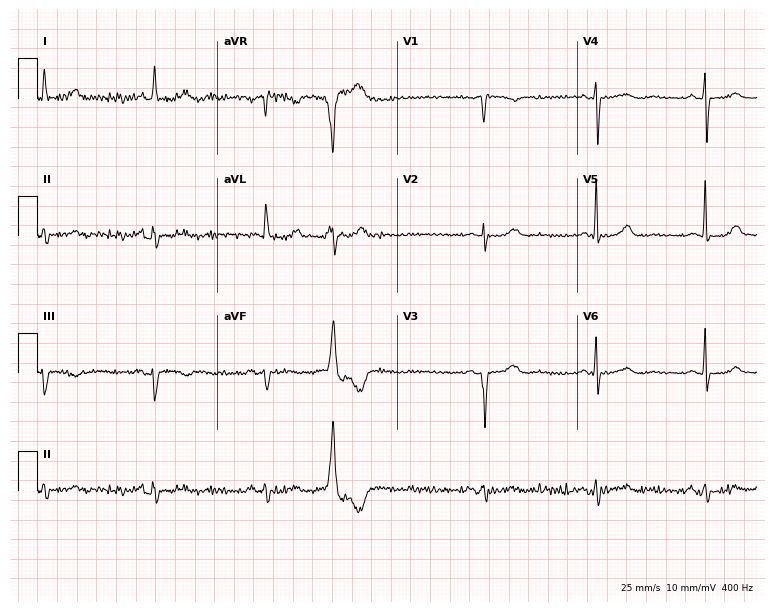
12-lead ECG from a woman, 78 years old (7.3-second recording at 400 Hz). No first-degree AV block, right bundle branch block, left bundle branch block, sinus bradycardia, atrial fibrillation or sinus tachycardia recorded for this tracing.